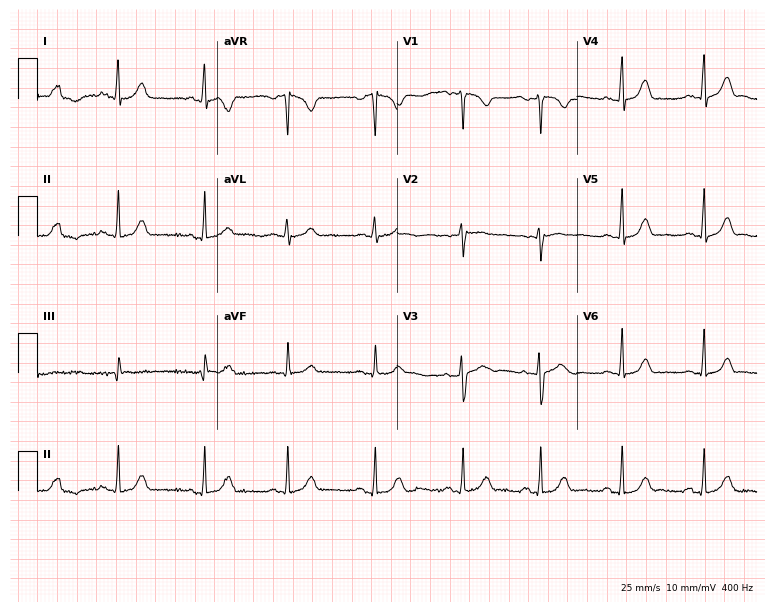
12-lead ECG (7.3-second recording at 400 Hz) from a 20-year-old woman. Labelled as a normal ECG.